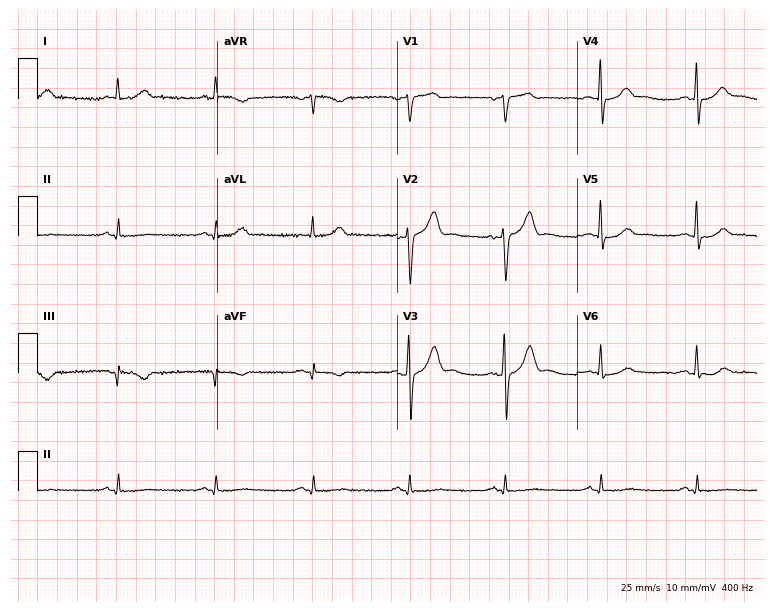
12-lead ECG from a 63-year-old male (7.3-second recording at 400 Hz). No first-degree AV block, right bundle branch block, left bundle branch block, sinus bradycardia, atrial fibrillation or sinus tachycardia recorded for this tracing.